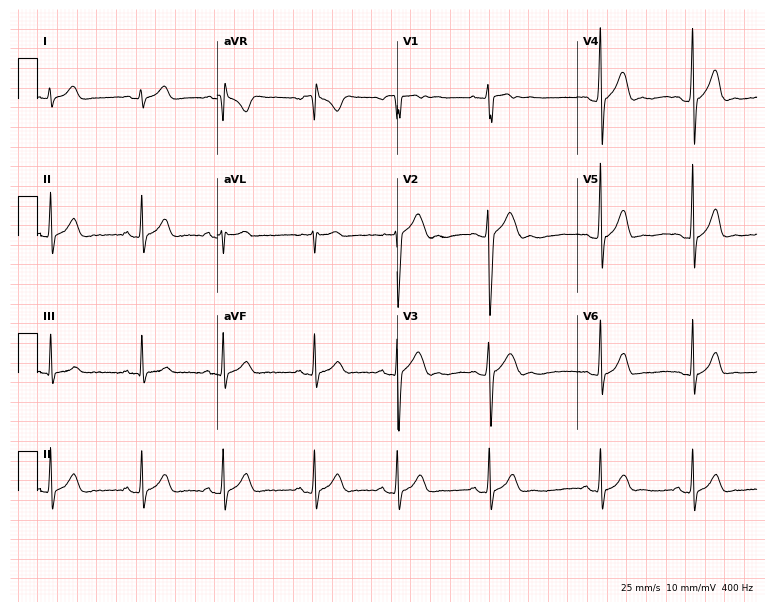
12-lead ECG (7.3-second recording at 400 Hz) from an 18-year-old man. Labelled as a normal ECG.